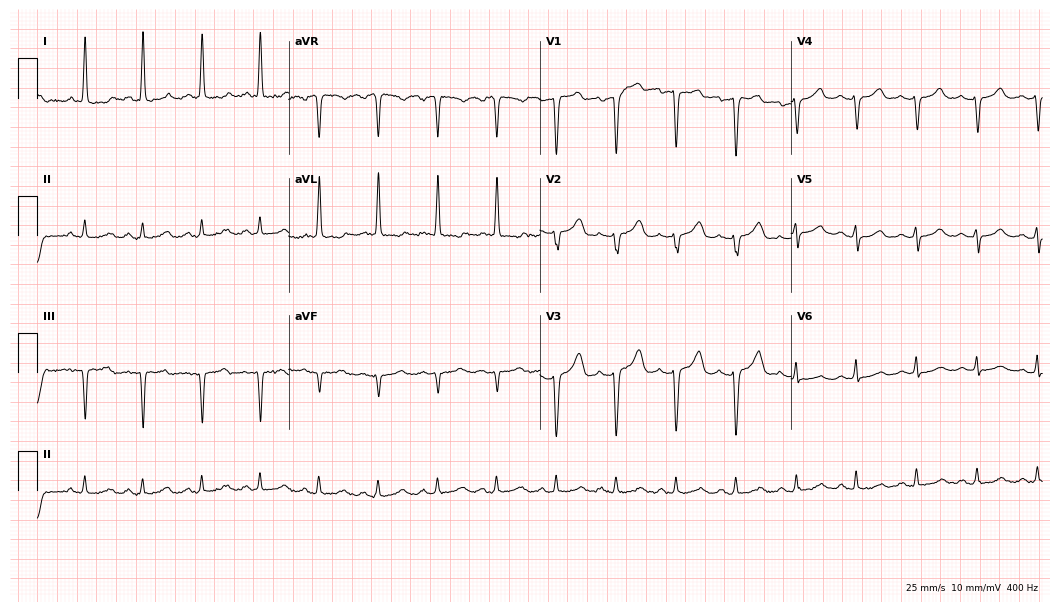
12-lead ECG from a woman, 59 years old. Screened for six findings — first-degree AV block, right bundle branch block, left bundle branch block, sinus bradycardia, atrial fibrillation, sinus tachycardia — none is recorded.